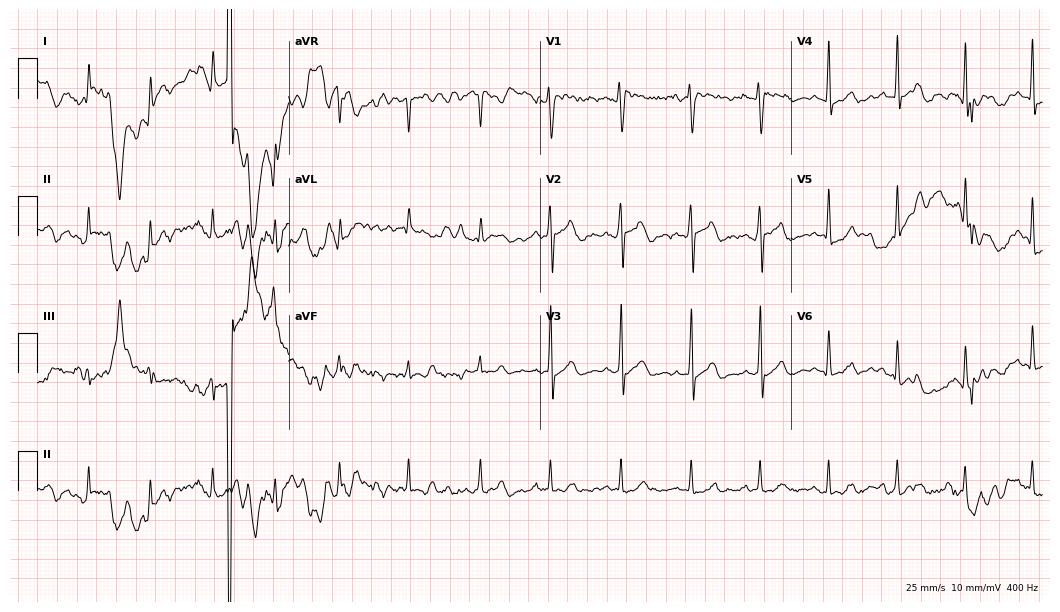
12-lead ECG from a male patient, 29 years old. Screened for six findings — first-degree AV block, right bundle branch block, left bundle branch block, sinus bradycardia, atrial fibrillation, sinus tachycardia — none is recorded. Only these six findings were labelled.